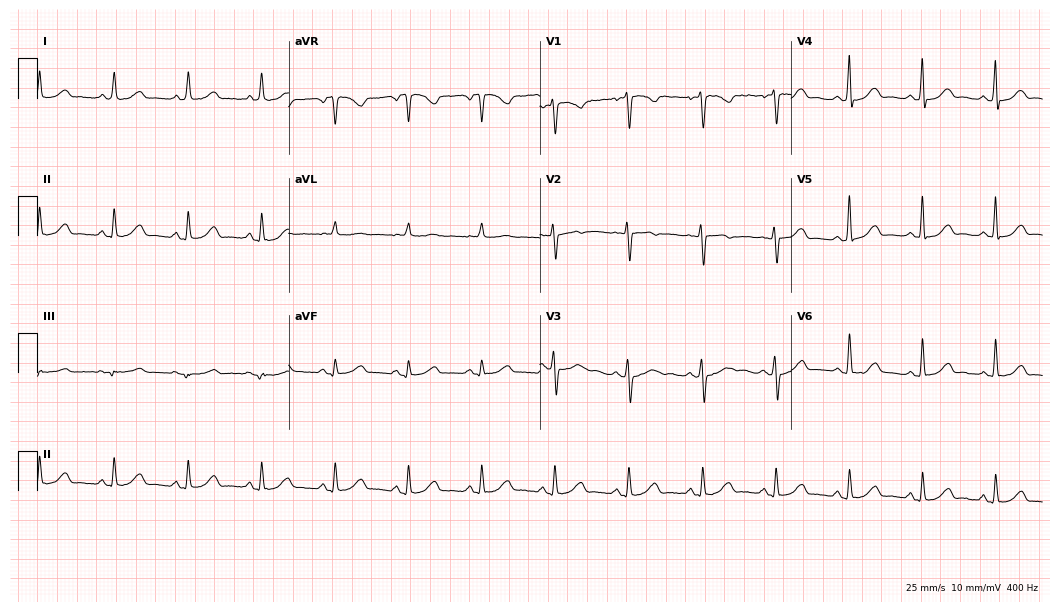
ECG (10.2-second recording at 400 Hz) — a 43-year-old female. Screened for six findings — first-degree AV block, right bundle branch block, left bundle branch block, sinus bradycardia, atrial fibrillation, sinus tachycardia — none is recorded.